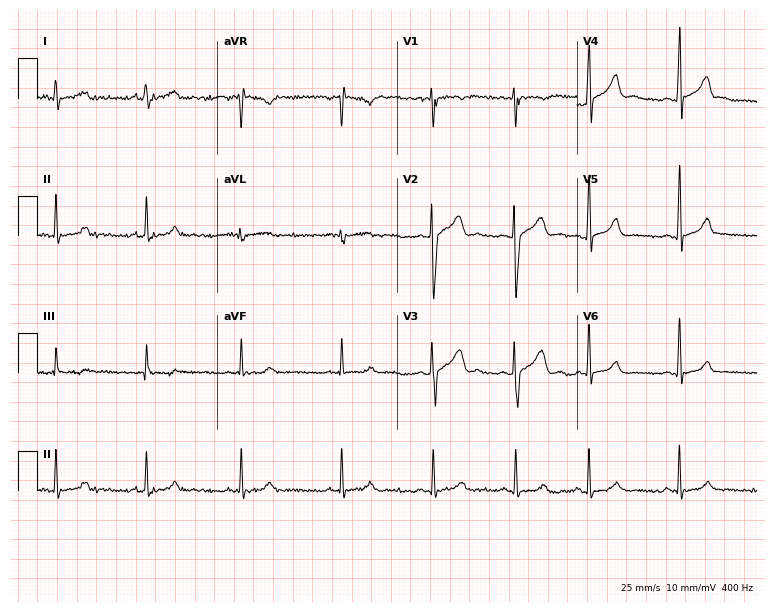
Resting 12-lead electrocardiogram (7.3-second recording at 400 Hz). Patient: a male, 19 years old. Read as a normal ECG.